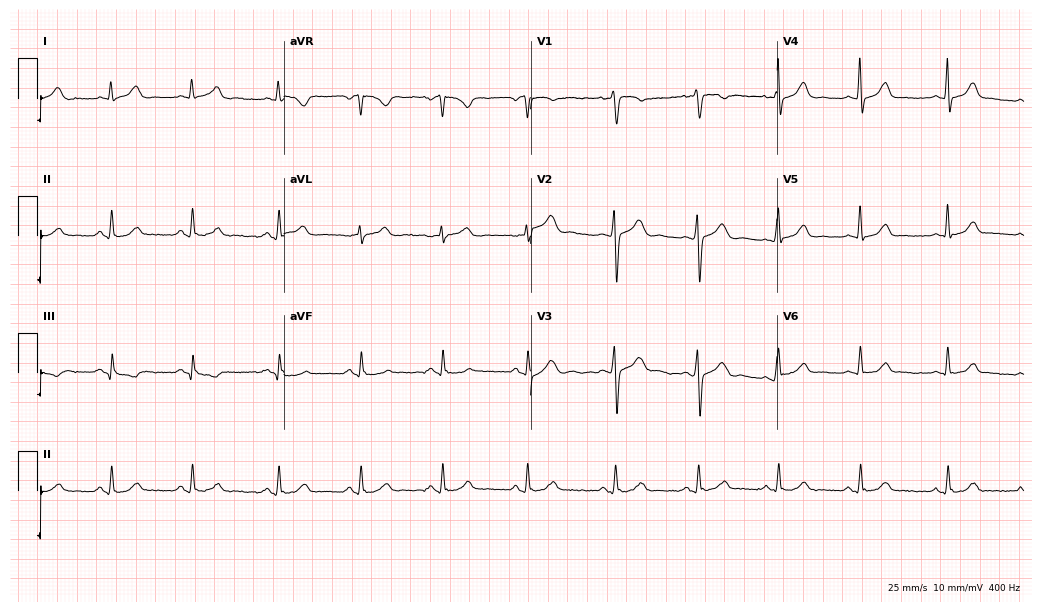
12-lead ECG from a female patient, 41 years old. No first-degree AV block, right bundle branch block (RBBB), left bundle branch block (LBBB), sinus bradycardia, atrial fibrillation (AF) or sinus tachycardia recorded for this tracing. Findings outside these six are not listed.